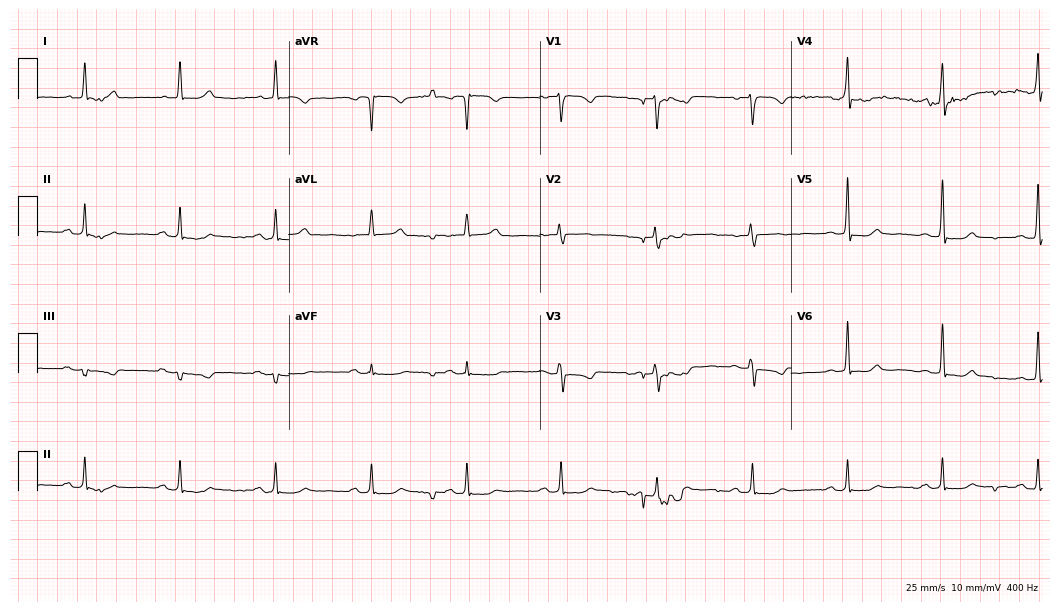
ECG (10.2-second recording at 400 Hz) — a female patient, 51 years old. Screened for six findings — first-degree AV block, right bundle branch block, left bundle branch block, sinus bradycardia, atrial fibrillation, sinus tachycardia — none is recorded. Other findings, if any, are not listed.